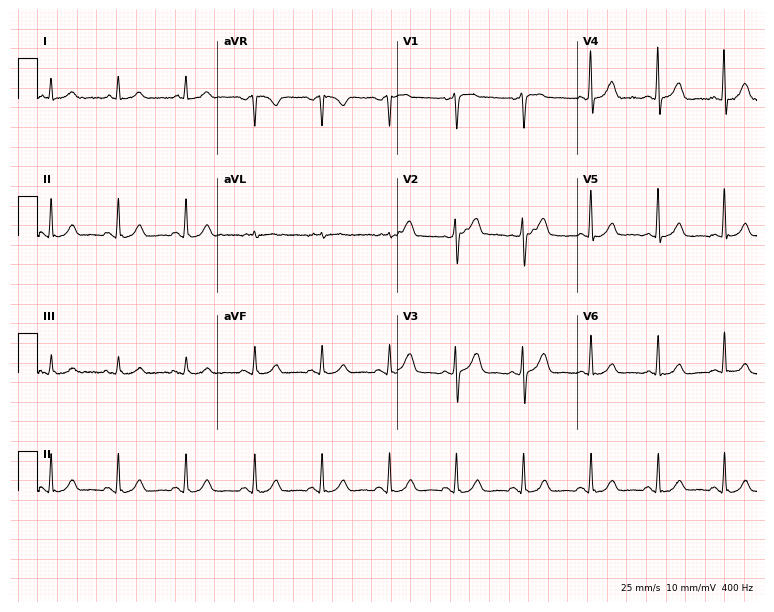
12-lead ECG from a male patient, 55 years old. Screened for six findings — first-degree AV block, right bundle branch block, left bundle branch block, sinus bradycardia, atrial fibrillation, sinus tachycardia — none is recorded. Findings outside these six are not listed.